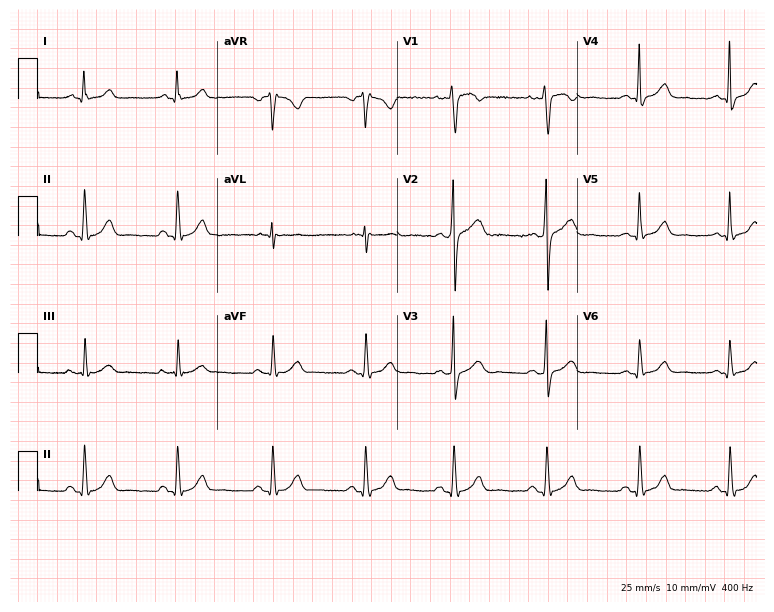
12-lead ECG from a woman, 30 years old. Recorded interpretation: within normal limits.